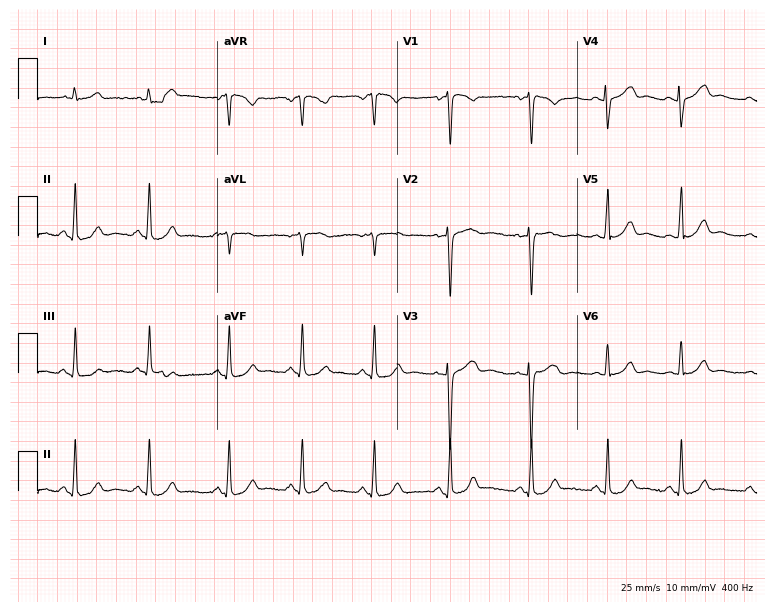
Standard 12-lead ECG recorded from a female, 28 years old. Read as a normal ECG.